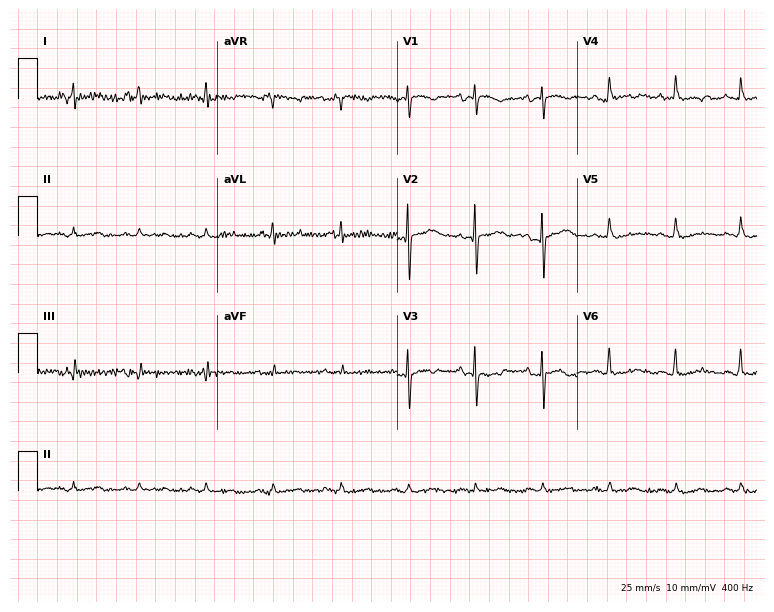
Resting 12-lead electrocardiogram (7.3-second recording at 400 Hz). Patient: a male, 64 years old. None of these six findings is recorded: first-degree AV block, right bundle branch block, left bundle branch block, sinus bradycardia, atrial fibrillation, sinus tachycardia. Findings outside these six are not listed.